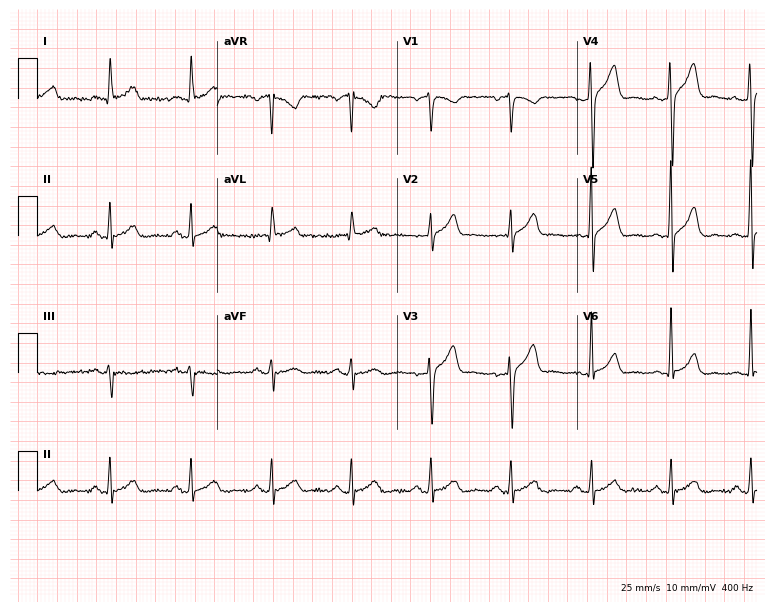
ECG (7.3-second recording at 400 Hz) — a male patient, 50 years old. Labelled as a normal ECG.